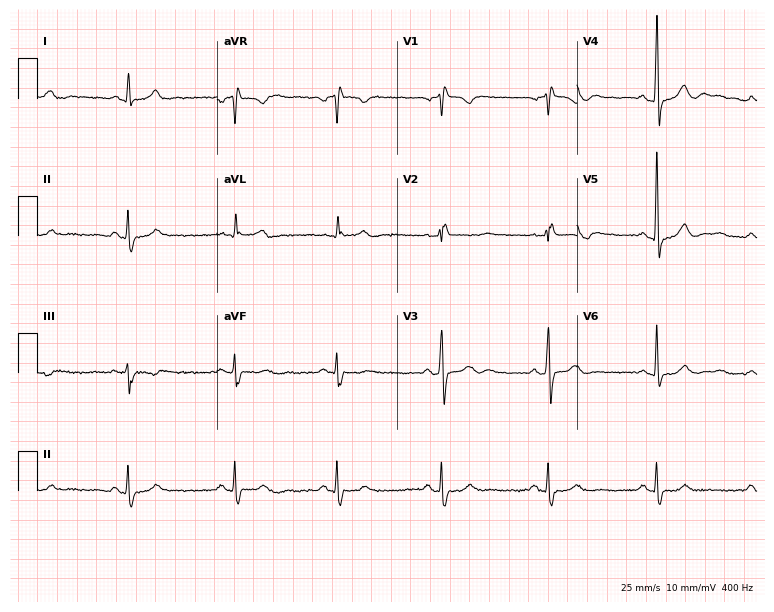
Standard 12-lead ECG recorded from a woman, 62 years old. None of these six findings is recorded: first-degree AV block, right bundle branch block, left bundle branch block, sinus bradycardia, atrial fibrillation, sinus tachycardia.